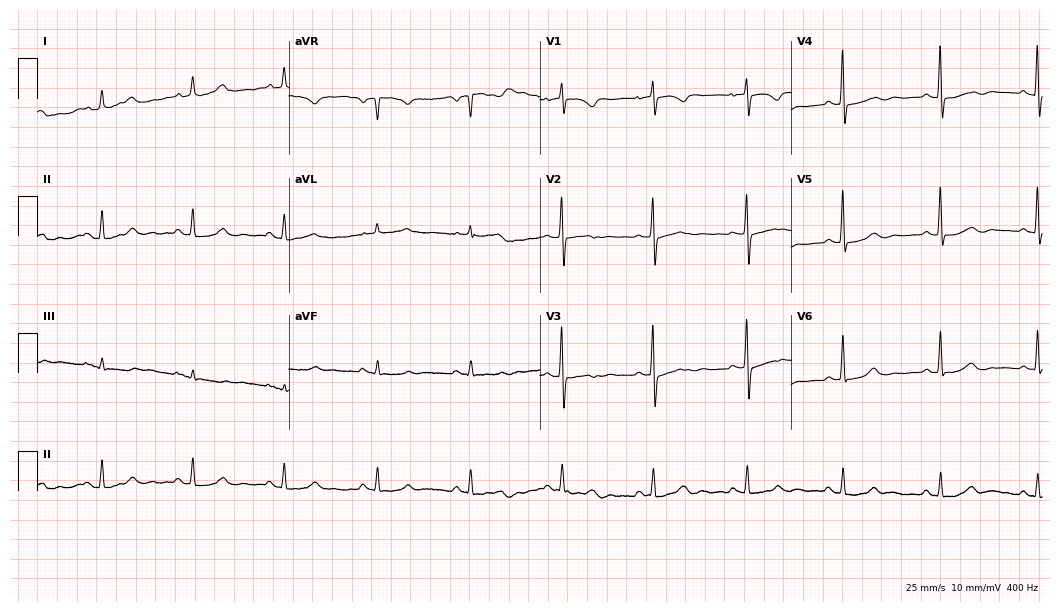
12-lead ECG from a female, 80 years old. No first-degree AV block, right bundle branch block, left bundle branch block, sinus bradycardia, atrial fibrillation or sinus tachycardia recorded for this tracing.